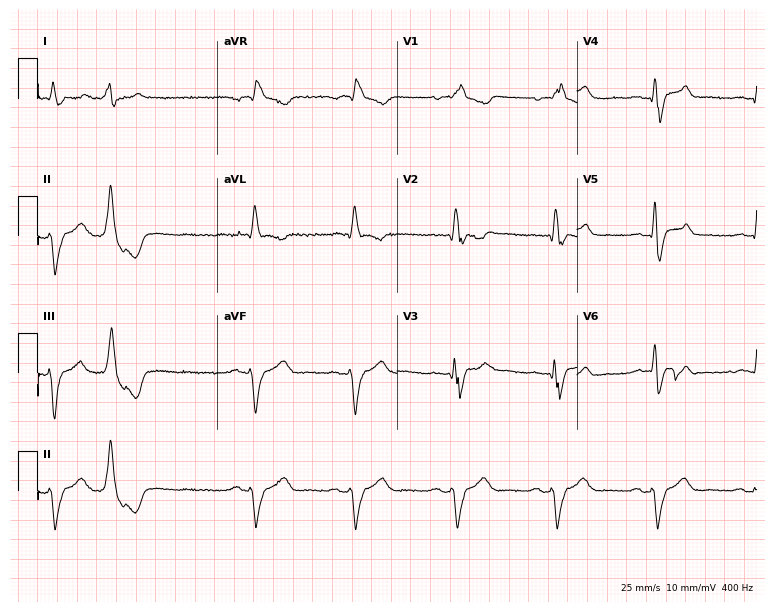
12-lead ECG (7.3-second recording at 400 Hz) from a 72-year-old male patient. Findings include right bundle branch block (RBBB).